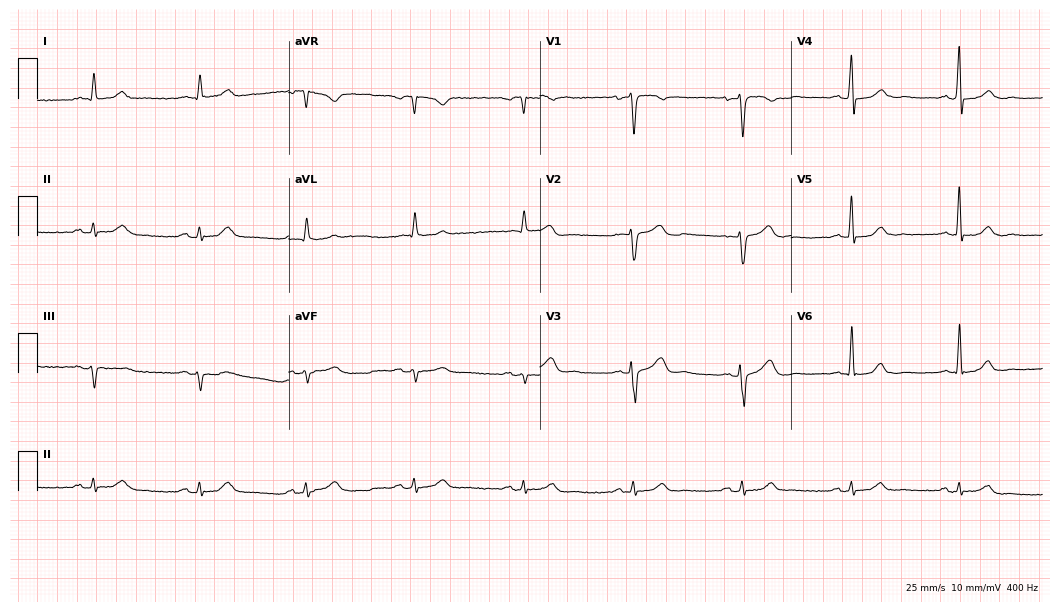
ECG (10.2-second recording at 400 Hz) — a male, 67 years old. Labelled as a normal ECG.